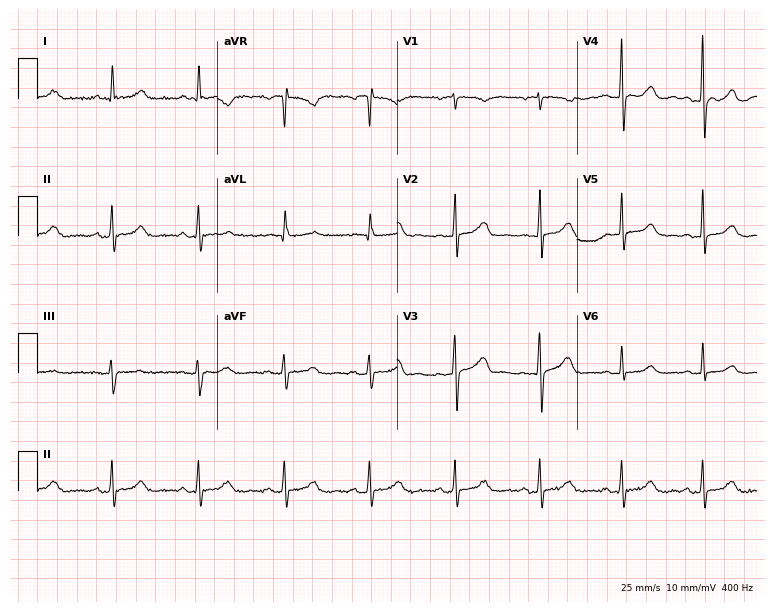
Resting 12-lead electrocardiogram. Patient: a woman, 59 years old. Read as a normal ECG.